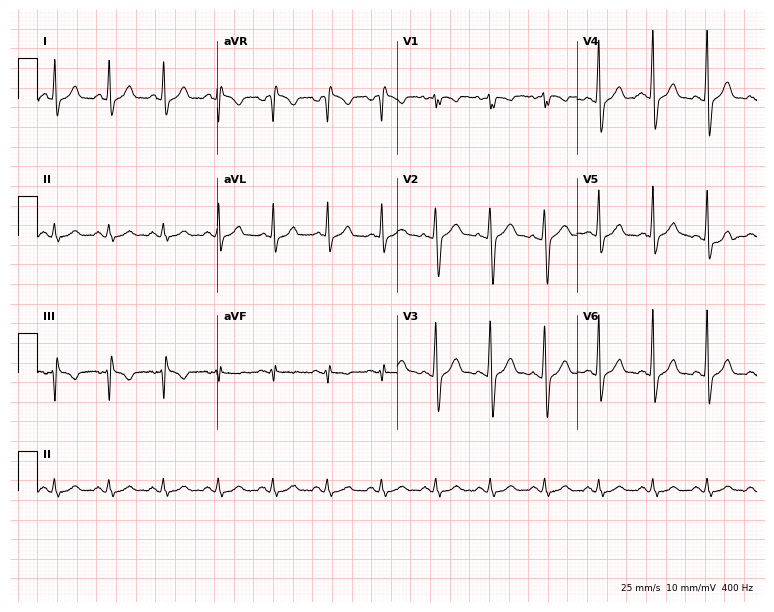
Electrocardiogram (7.3-second recording at 400 Hz), a male, 55 years old. Interpretation includes sinus tachycardia (a sinus rate of 100 beats per minute or more).